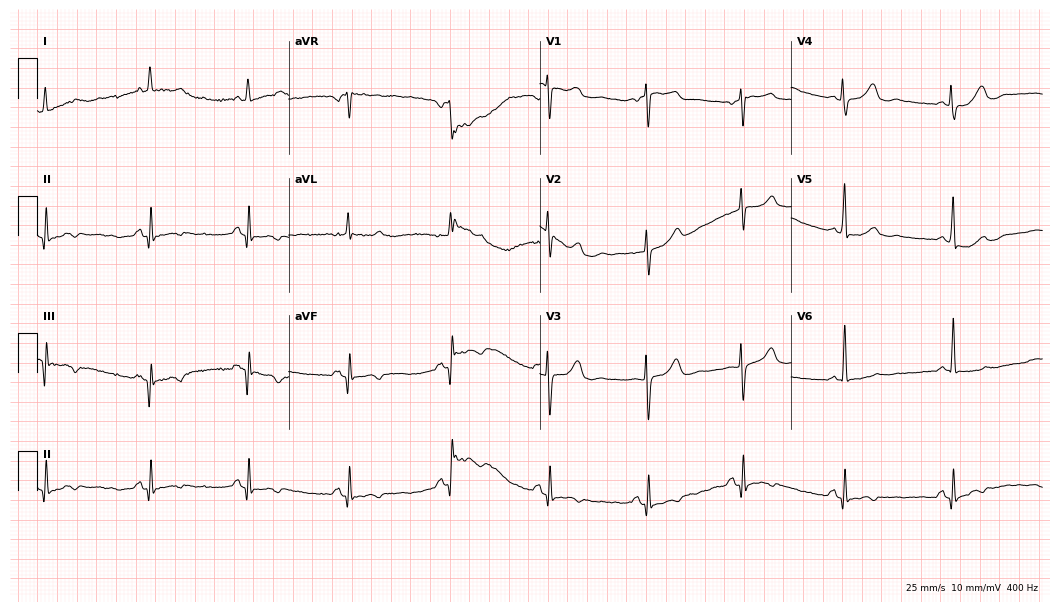
ECG (10.2-second recording at 400 Hz) — a 54-year-old female. Screened for six findings — first-degree AV block, right bundle branch block, left bundle branch block, sinus bradycardia, atrial fibrillation, sinus tachycardia — none is recorded. Only these six findings were labelled.